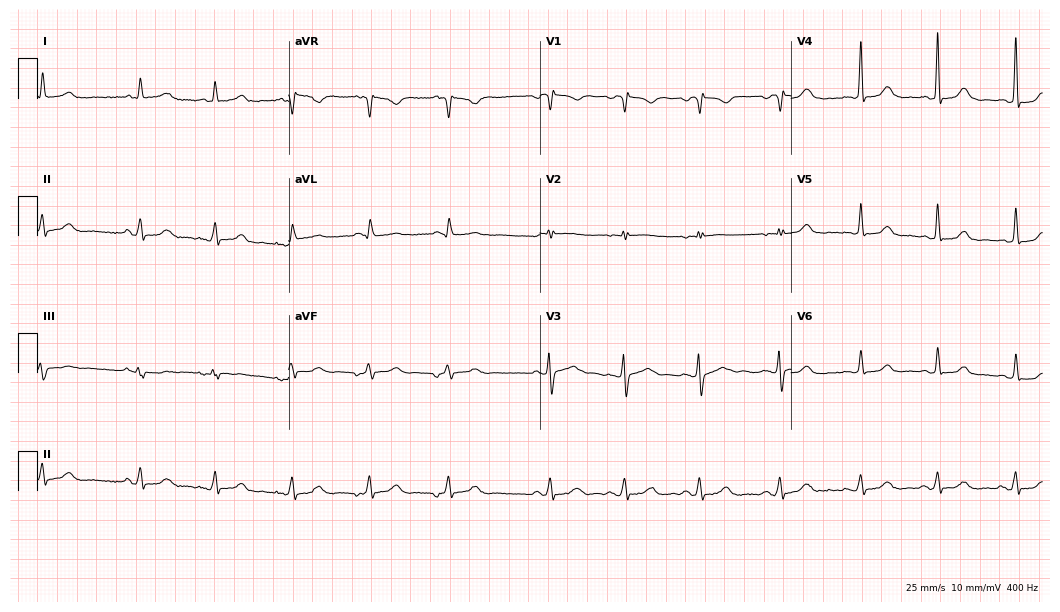
Standard 12-lead ECG recorded from a female, 41 years old. Read as a normal ECG.